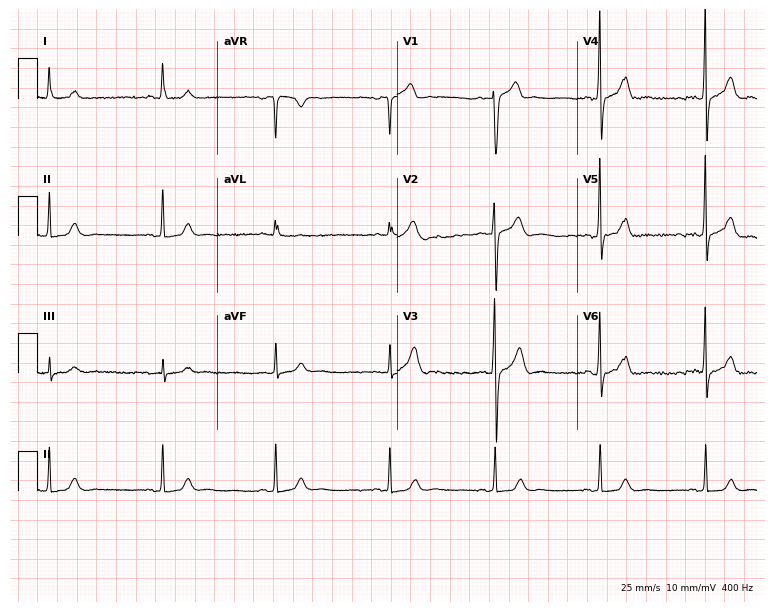
ECG (7.3-second recording at 400 Hz) — a man, 28 years old. Screened for six findings — first-degree AV block, right bundle branch block, left bundle branch block, sinus bradycardia, atrial fibrillation, sinus tachycardia — none is recorded. Only these six findings were labelled.